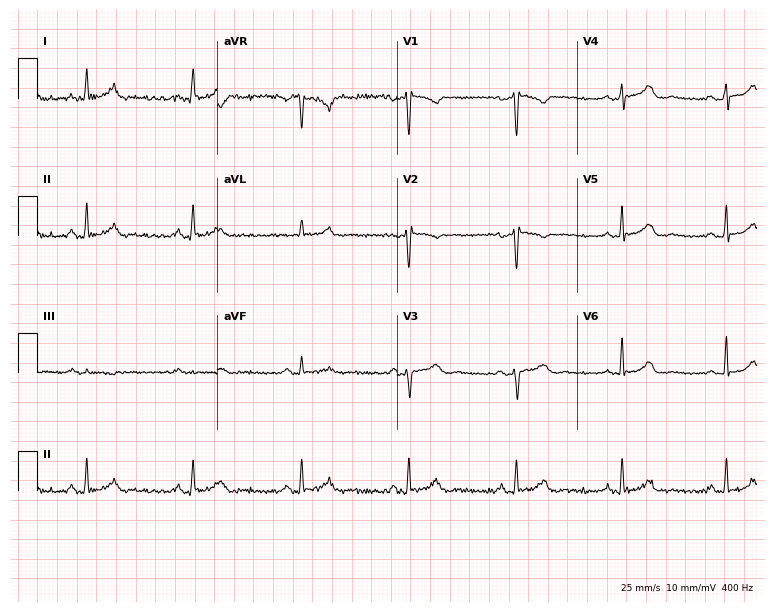
Resting 12-lead electrocardiogram. Patient: a 52-year-old female. Read as a normal ECG.